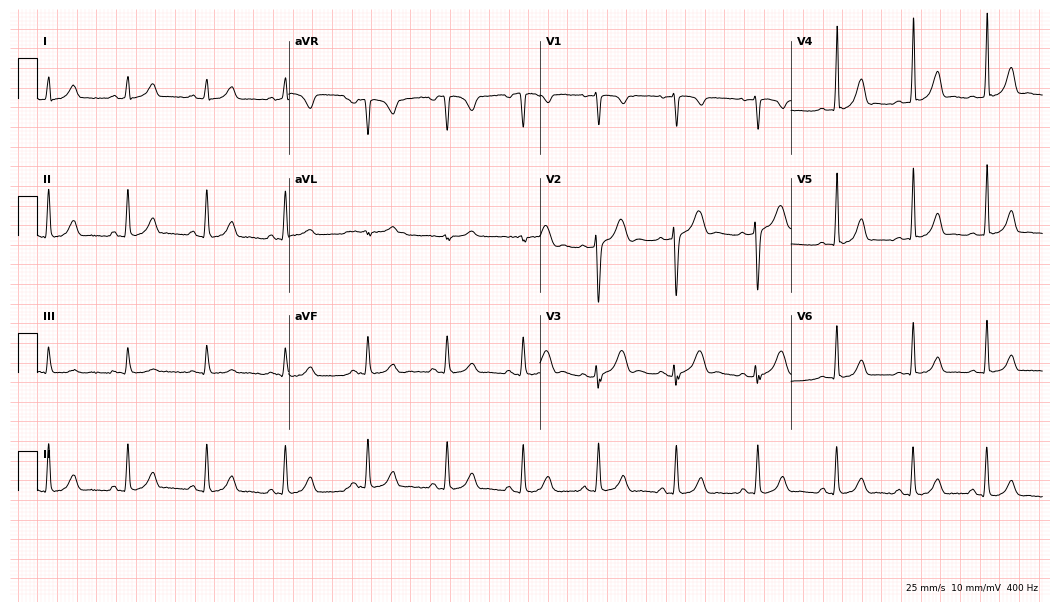
12-lead ECG from a female, 20 years old. Screened for six findings — first-degree AV block, right bundle branch block (RBBB), left bundle branch block (LBBB), sinus bradycardia, atrial fibrillation (AF), sinus tachycardia — none is recorded. Only these six findings were labelled.